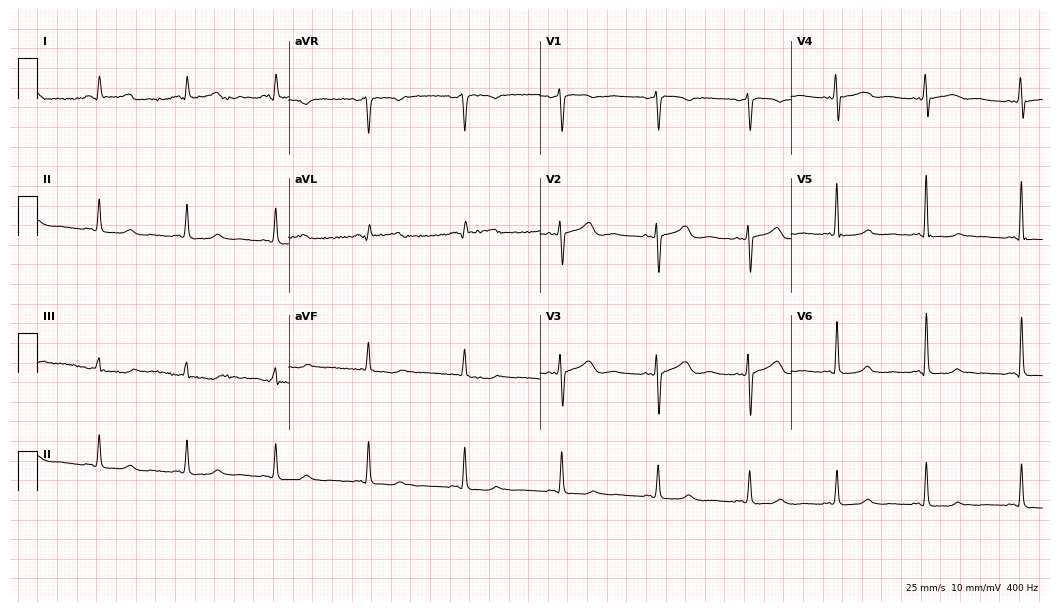
12-lead ECG from a 54-year-old female (10.2-second recording at 400 Hz). Recorded interpretation: within normal limits.